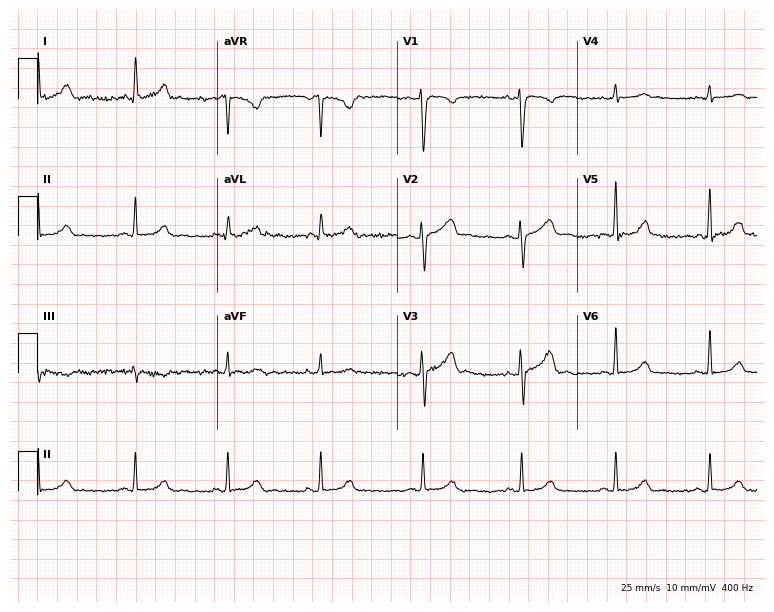
Standard 12-lead ECG recorded from a female patient, 31 years old. Read as a normal ECG.